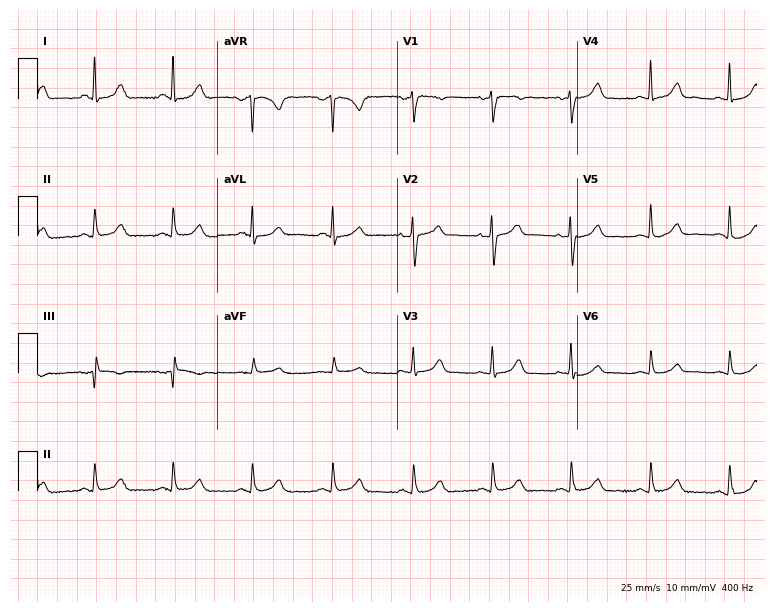
12-lead ECG from a woman, 63 years old (7.3-second recording at 400 Hz). Recorded interpretation: within normal limits.